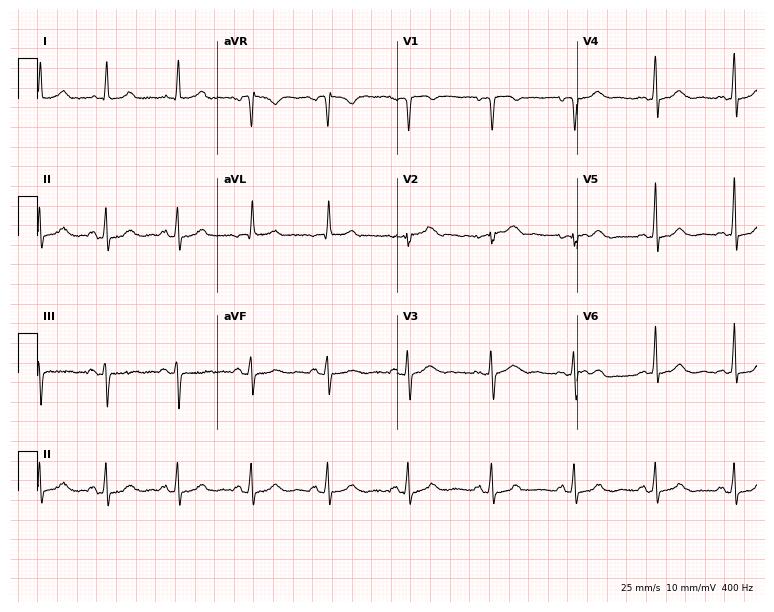
ECG (7.3-second recording at 400 Hz) — a female, 33 years old. Labelled as a normal ECG.